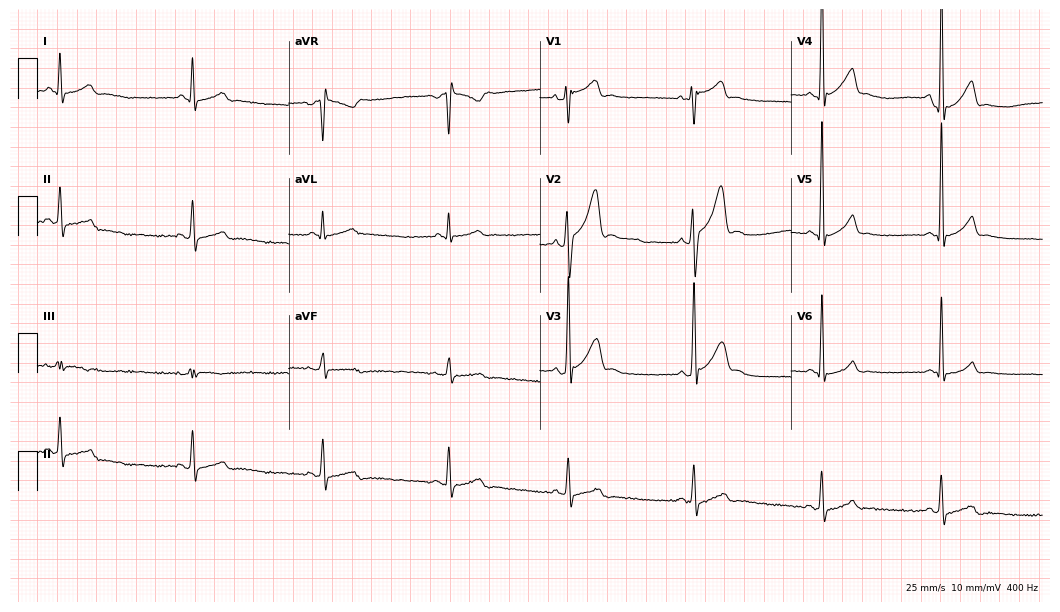
Resting 12-lead electrocardiogram (10.2-second recording at 400 Hz). Patient: a male, 31 years old. The tracing shows sinus bradycardia (a sinus rate of 50 beats per minute or less).